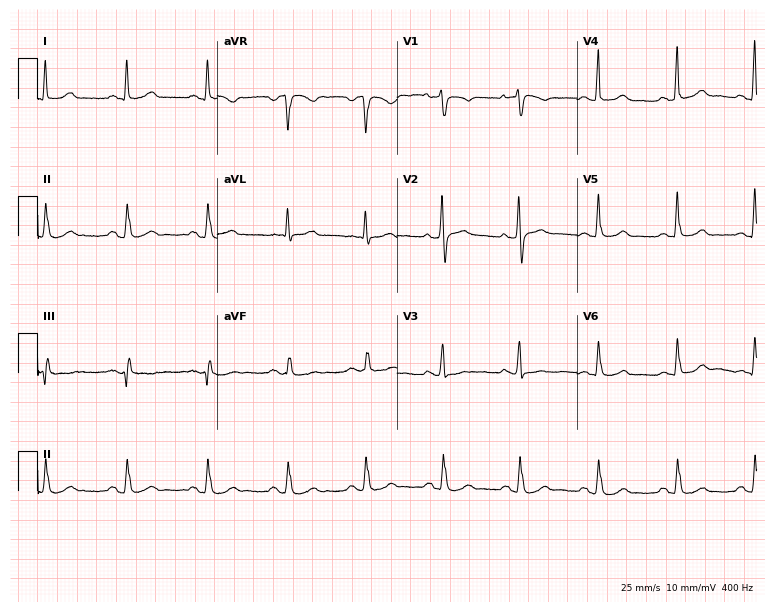
Standard 12-lead ECG recorded from a 64-year-old female. None of these six findings is recorded: first-degree AV block, right bundle branch block, left bundle branch block, sinus bradycardia, atrial fibrillation, sinus tachycardia.